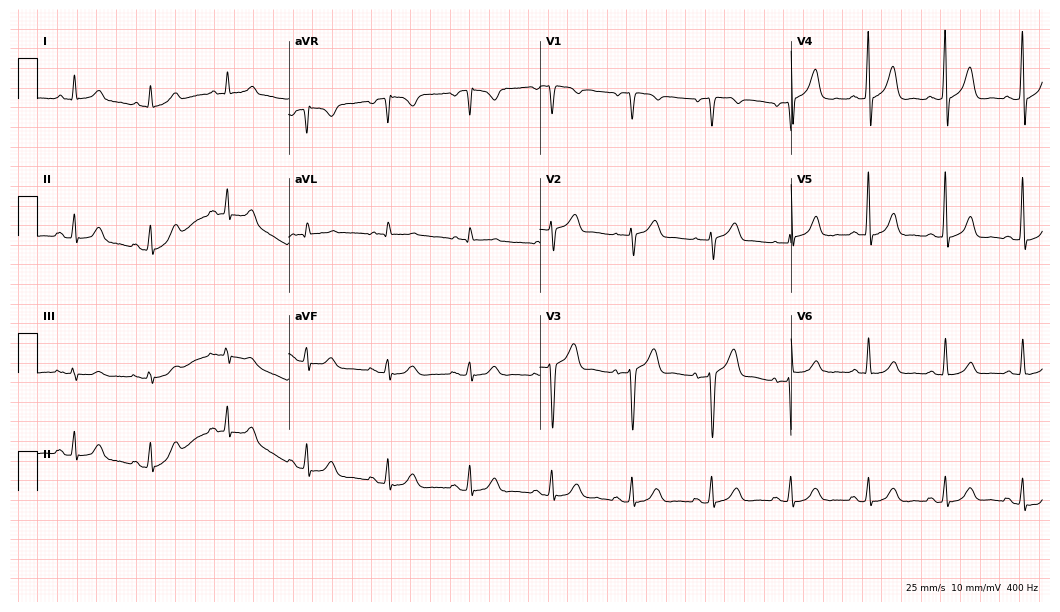
12-lead ECG from a 51-year-old male (10.2-second recording at 400 Hz). Recorded interpretation: within normal limits.